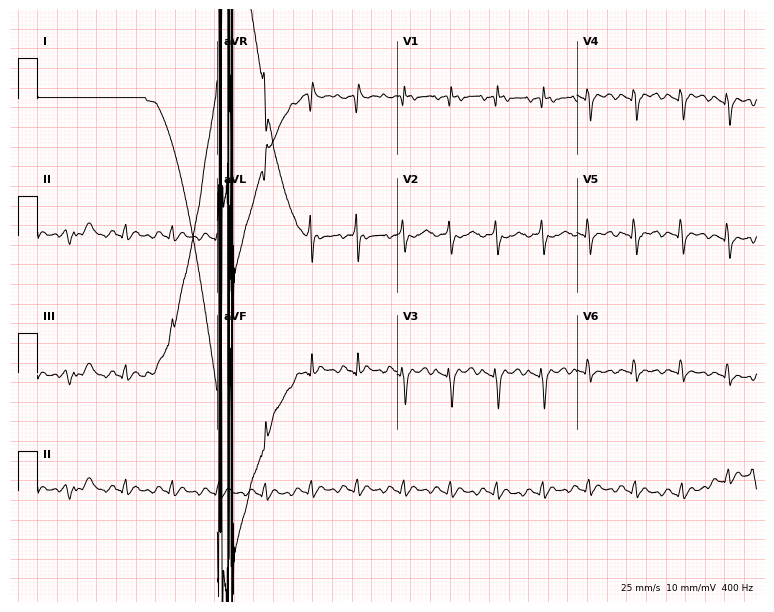
12-lead ECG (7.3-second recording at 400 Hz) from a man, 79 years old. Screened for six findings — first-degree AV block, right bundle branch block (RBBB), left bundle branch block (LBBB), sinus bradycardia, atrial fibrillation (AF), sinus tachycardia — none is recorded.